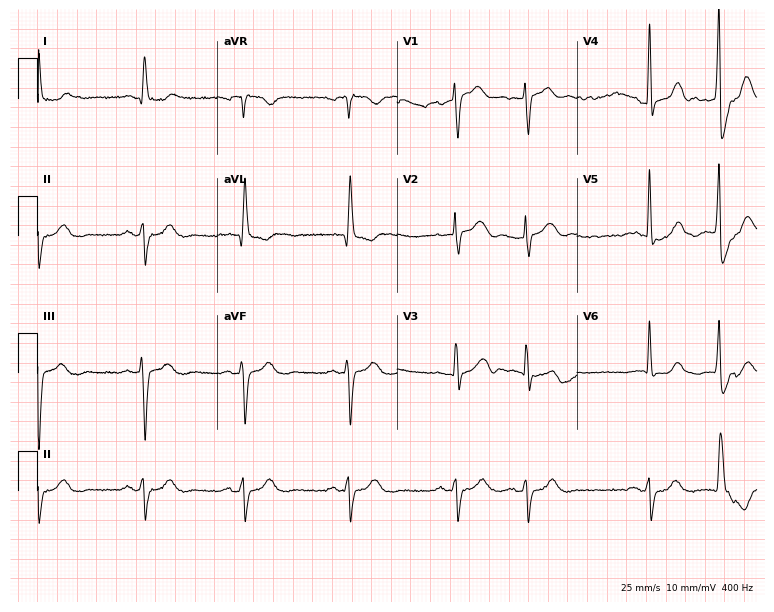
12-lead ECG from a male patient, 68 years old (7.3-second recording at 400 Hz). Shows left bundle branch block.